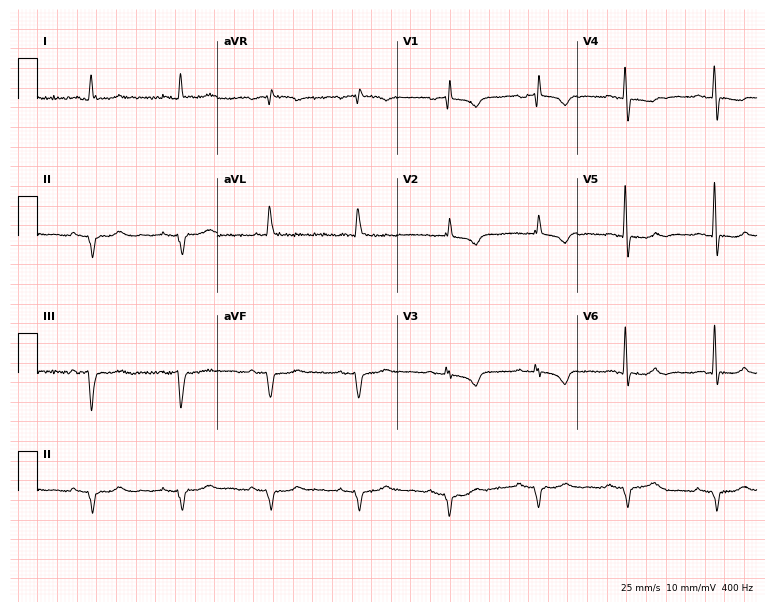
ECG — an 86-year-old woman. Screened for six findings — first-degree AV block, right bundle branch block, left bundle branch block, sinus bradycardia, atrial fibrillation, sinus tachycardia — none is recorded.